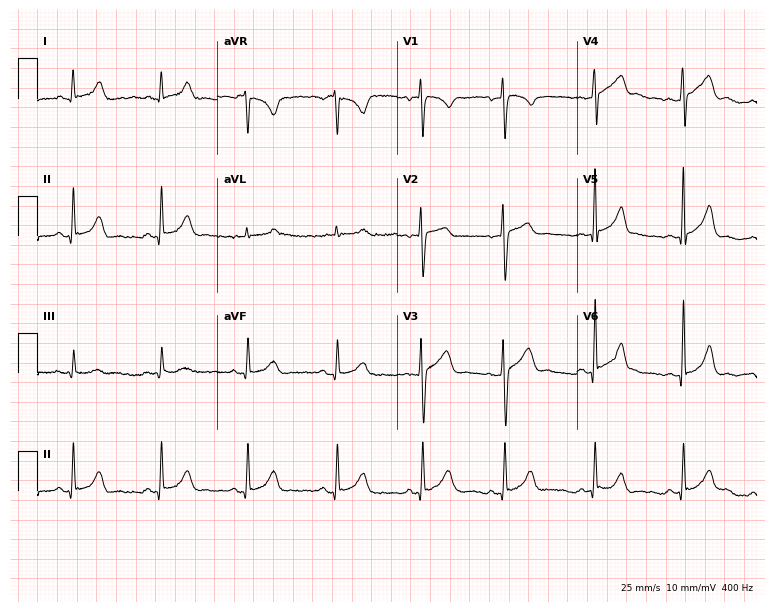
Standard 12-lead ECG recorded from a 29-year-old woman (7.3-second recording at 400 Hz). Read as a normal ECG.